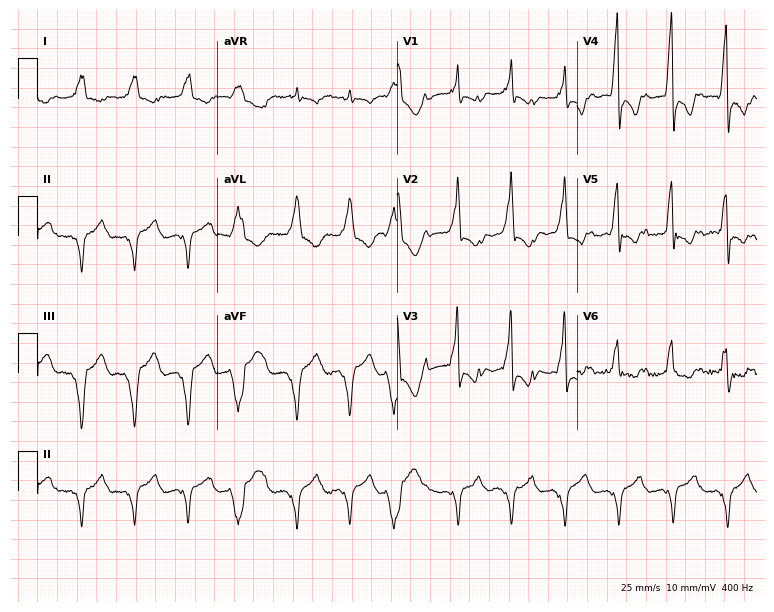
ECG — a 48-year-old woman. Screened for six findings — first-degree AV block, right bundle branch block, left bundle branch block, sinus bradycardia, atrial fibrillation, sinus tachycardia — none is recorded. Other findings, if any, are not listed.